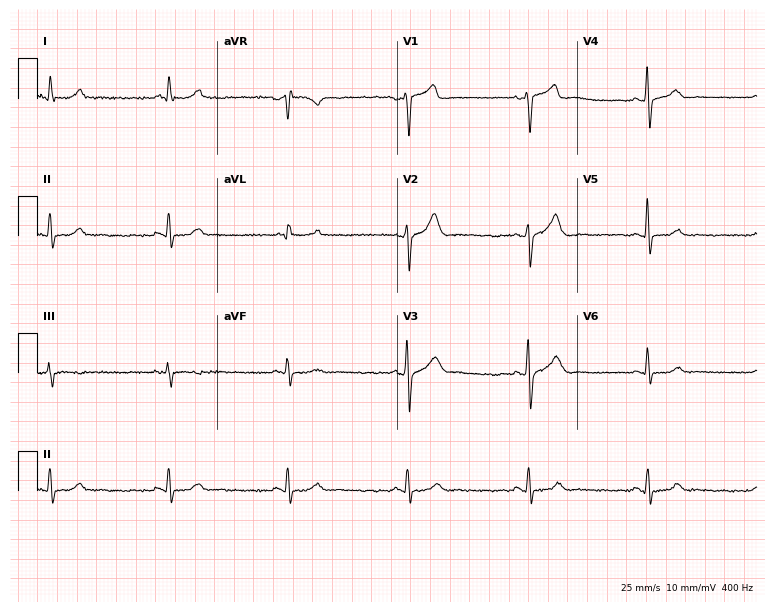
Electrocardiogram (7.3-second recording at 400 Hz), a male patient, 61 years old. Interpretation includes sinus bradycardia (a sinus rate of 50 beats per minute or less).